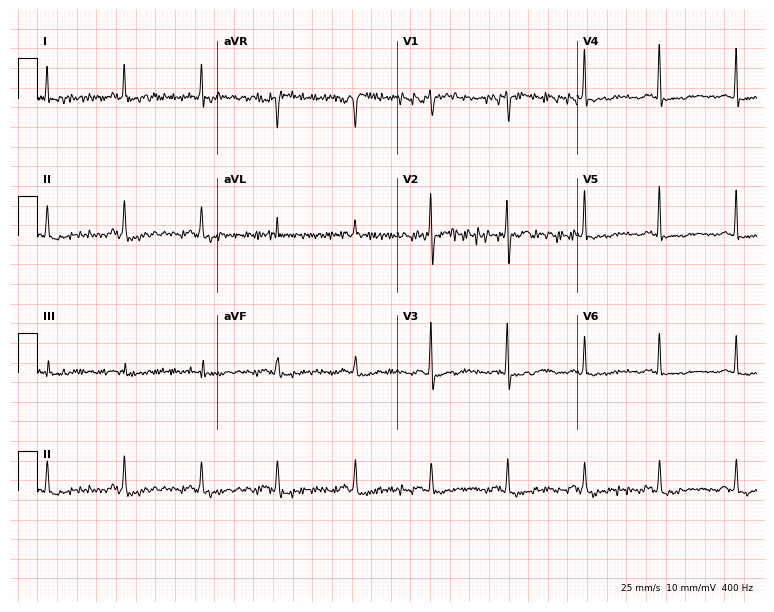
12-lead ECG from a 46-year-old male patient. Screened for six findings — first-degree AV block, right bundle branch block (RBBB), left bundle branch block (LBBB), sinus bradycardia, atrial fibrillation (AF), sinus tachycardia — none is recorded.